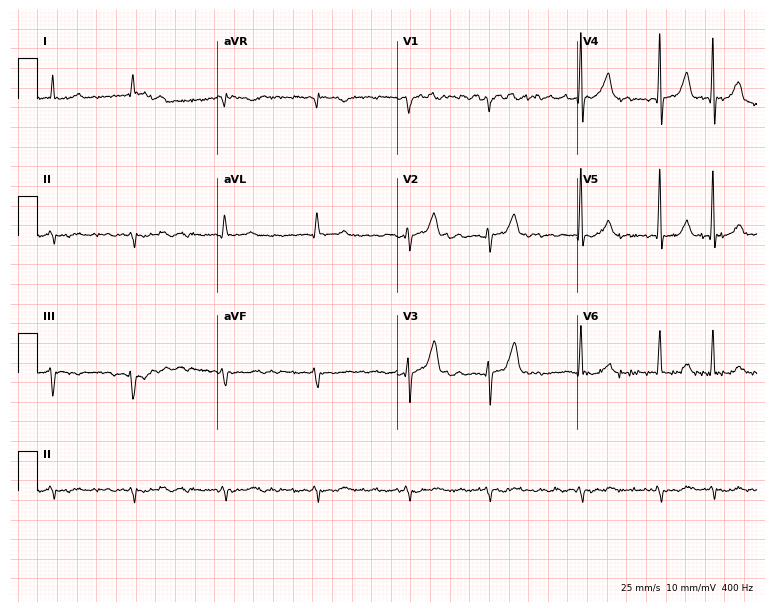
Resting 12-lead electrocardiogram. Patient: a 69-year-old male. The tracing shows atrial fibrillation.